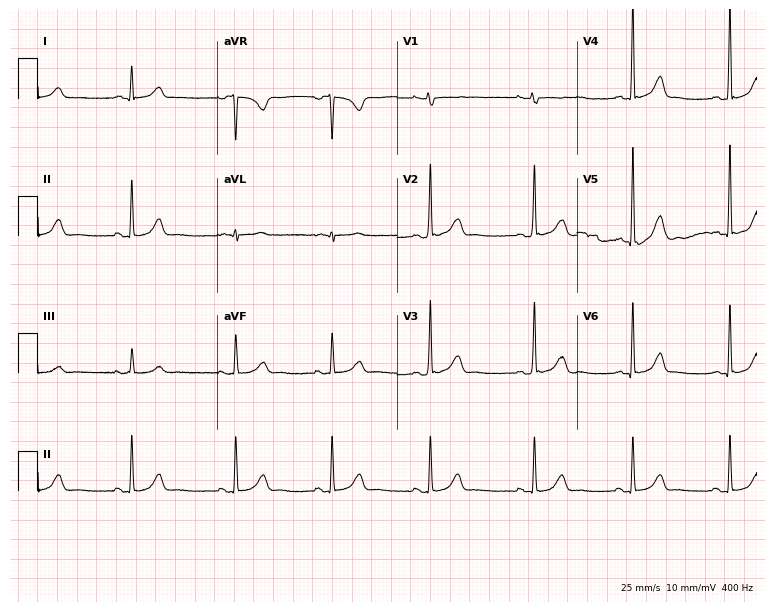
12-lead ECG from a female patient, 42 years old (7.3-second recording at 400 Hz). No first-degree AV block, right bundle branch block (RBBB), left bundle branch block (LBBB), sinus bradycardia, atrial fibrillation (AF) or sinus tachycardia recorded for this tracing. Other findings, if any, are not listed.